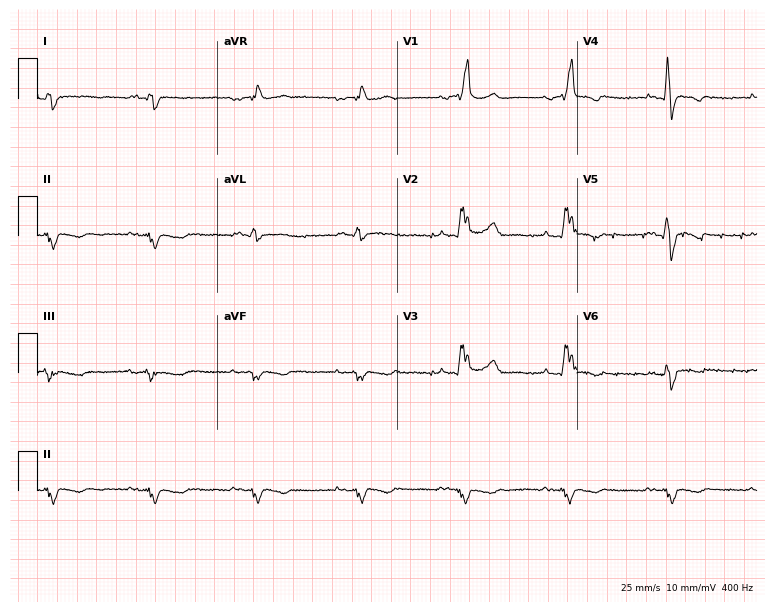
Standard 12-lead ECG recorded from a male patient, 54 years old (7.3-second recording at 400 Hz). None of these six findings is recorded: first-degree AV block, right bundle branch block, left bundle branch block, sinus bradycardia, atrial fibrillation, sinus tachycardia.